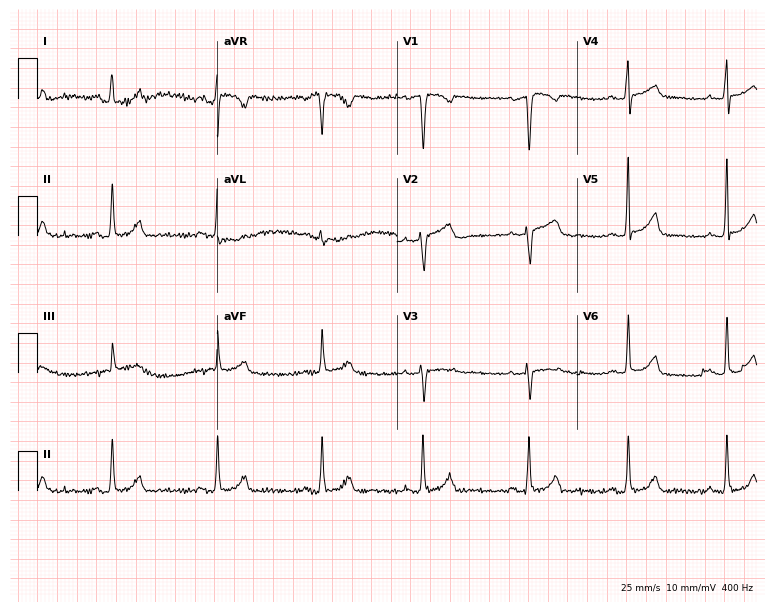
Standard 12-lead ECG recorded from a female patient, 39 years old. Read as a normal ECG.